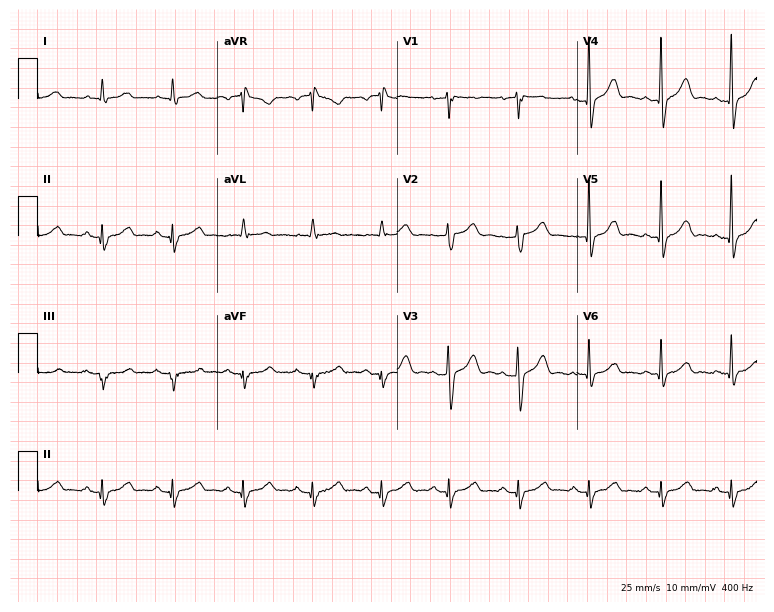
Resting 12-lead electrocardiogram. Patient: a man, 64 years old. None of these six findings is recorded: first-degree AV block, right bundle branch block (RBBB), left bundle branch block (LBBB), sinus bradycardia, atrial fibrillation (AF), sinus tachycardia.